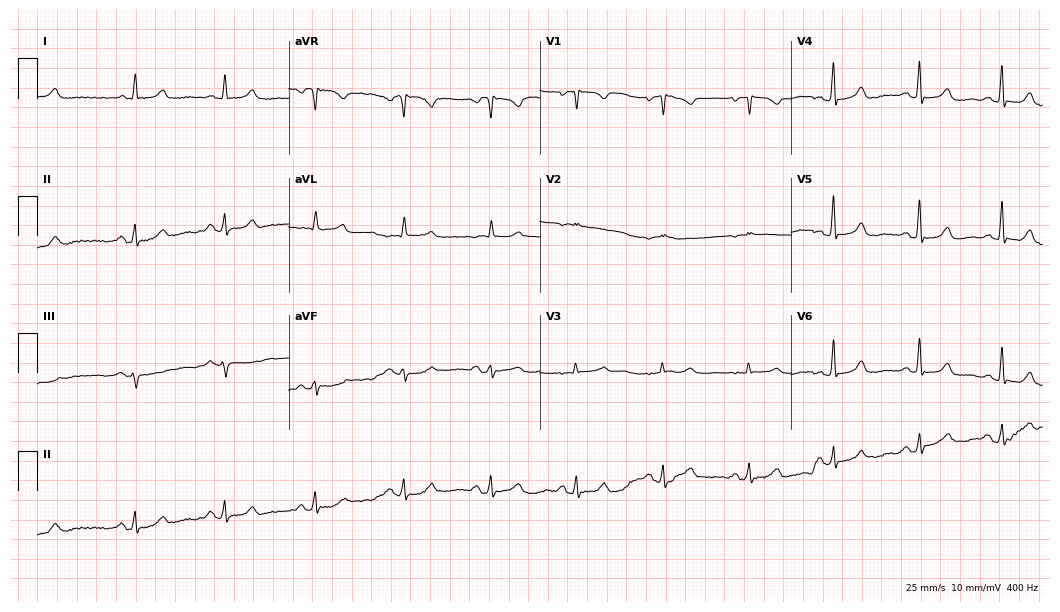
Electrocardiogram, a woman, 67 years old. Of the six screened findings (first-degree AV block, right bundle branch block (RBBB), left bundle branch block (LBBB), sinus bradycardia, atrial fibrillation (AF), sinus tachycardia), none is recorded. Only these six findings were labelled.